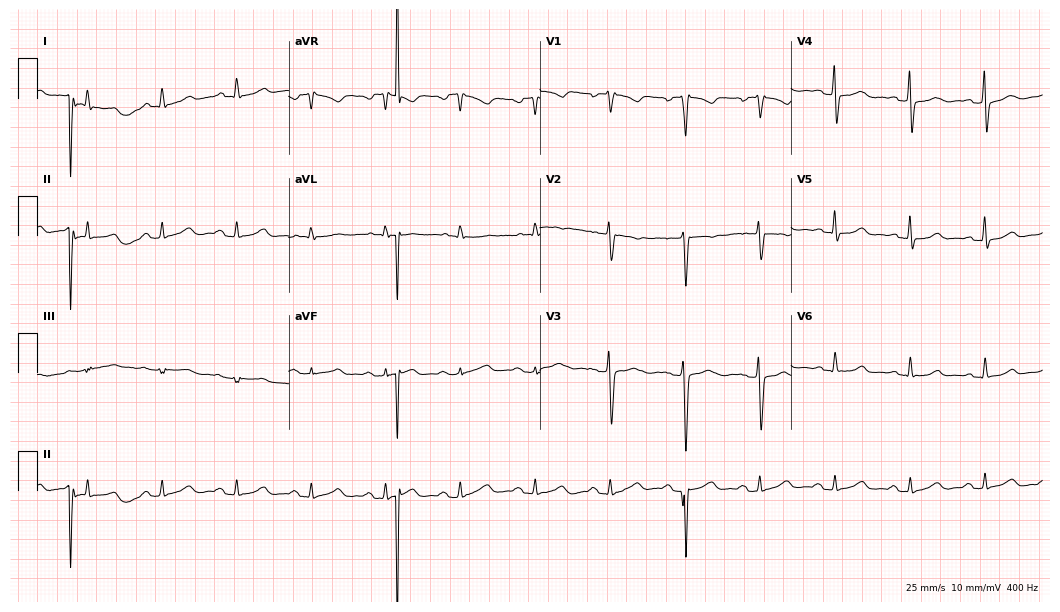
12-lead ECG from a 62-year-old female. Screened for six findings — first-degree AV block, right bundle branch block, left bundle branch block, sinus bradycardia, atrial fibrillation, sinus tachycardia — none is recorded. Findings outside these six are not listed.